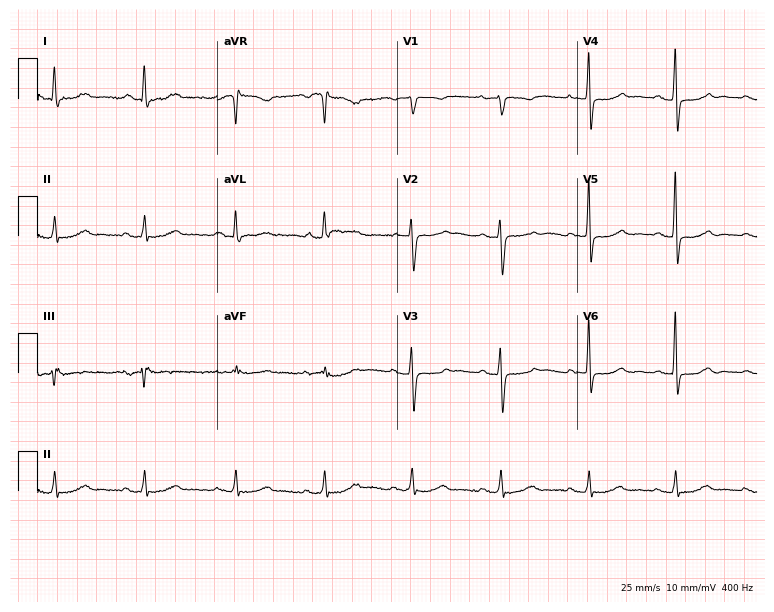
Resting 12-lead electrocardiogram (7.3-second recording at 400 Hz). Patient: a female, 66 years old. None of these six findings is recorded: first-degree AV block, right bundle branch block, left bundle branch block, sinus bradycardia, atrial fibrillation, sinus tachycardia.